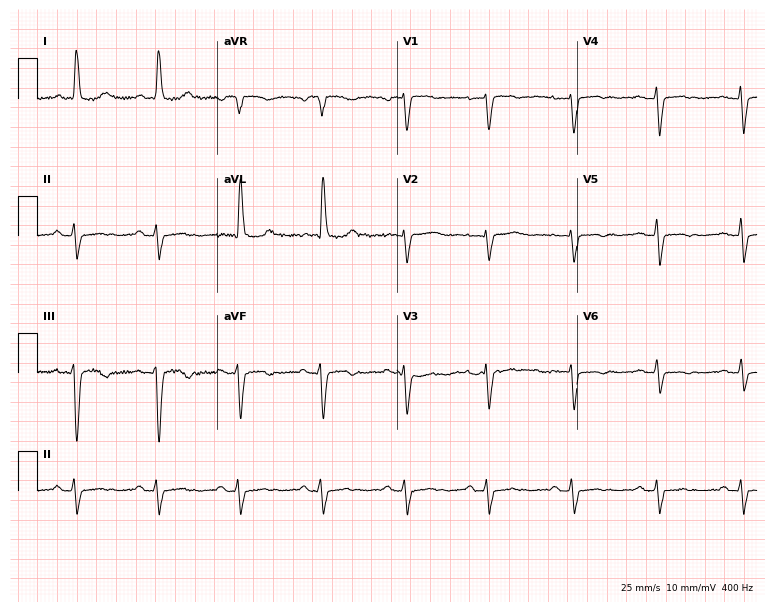
Electrocardiogram (7.3-second recording at 400 Hz), a female patient, 72 years old. Of the six screened findings (first-degree AV block, right bundle branch block, left bundle branch block, sinus bradycardia, atrial fibrillation, sinus tachycardia), none is recorded.